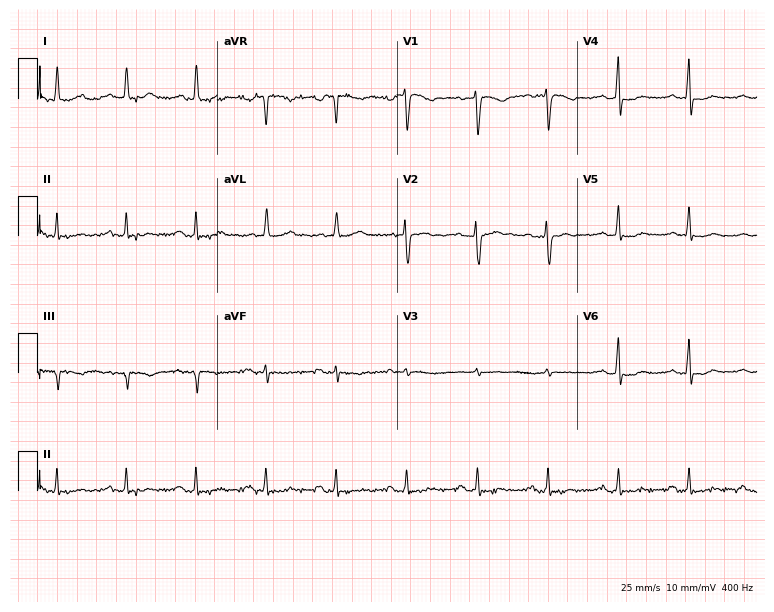
ECG (7.3-second recording at 400 Hz) — a 47-year-old female patient. Screened for six findings — first-degree AV block, right bundle branch block (RBBB), left bundle branch block (LBBB), sinus bradycardia, atrial fibrillation (AF), sinus tachycardia — none is recorded.